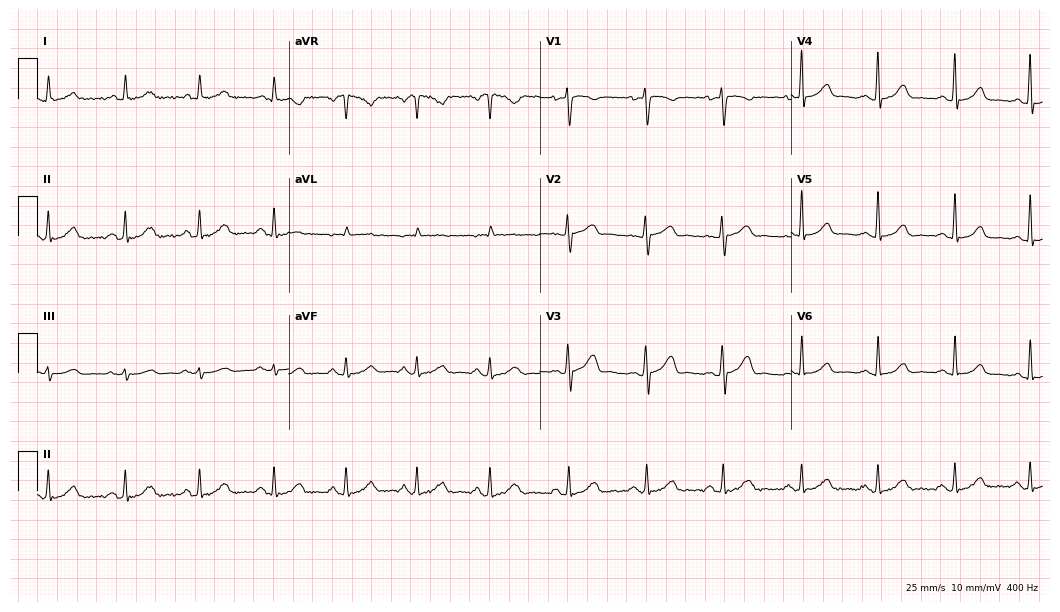
ECG (10.2-second recording at 400 Hz) — a female, 52 years old. Labelled as a normal ECG.